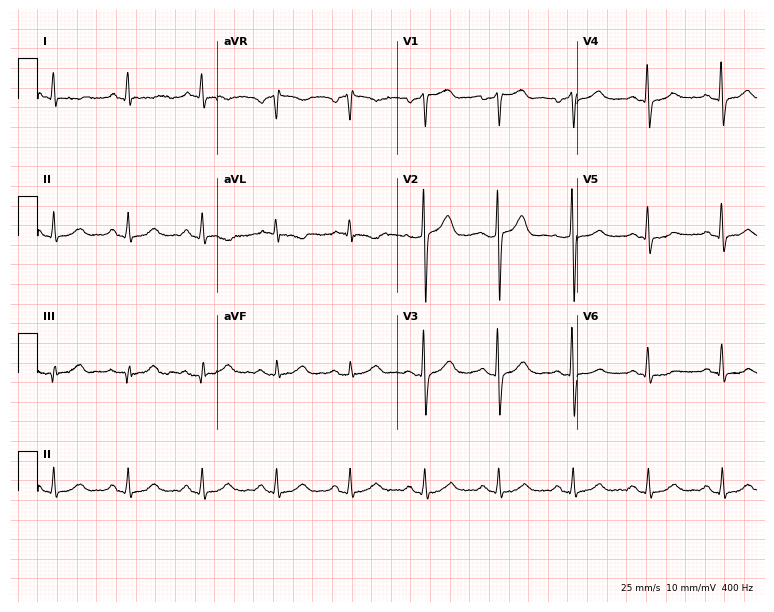
ECG (7.3-second recording at 400 Hz) — a male patient, 52 years old. Labelled as a normal ECG.